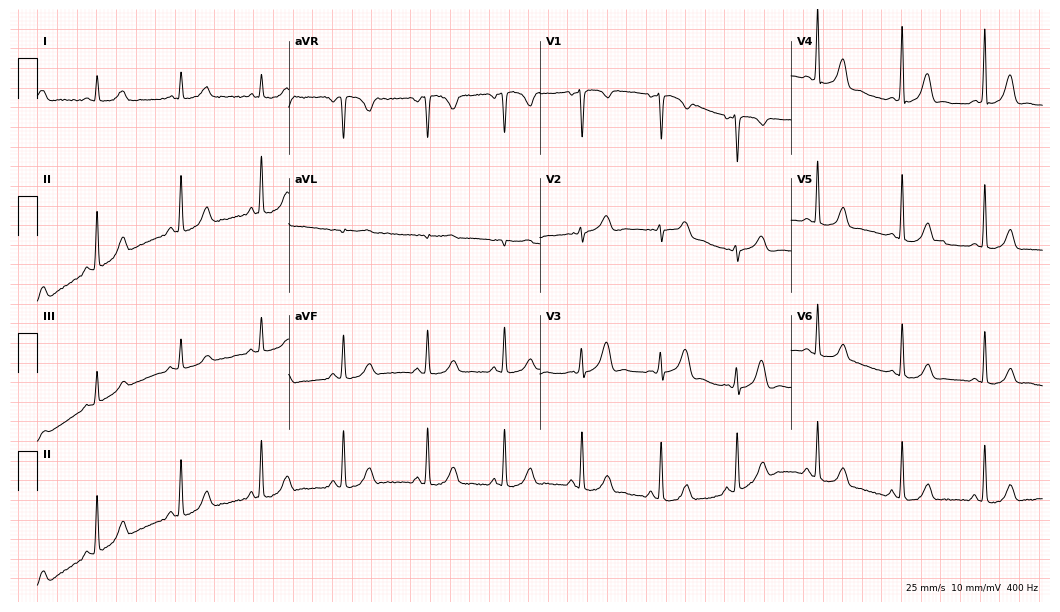
Resting 12-lead electrocardiogram. Patient: a 31-year-old woman. Read as a normal ECG.